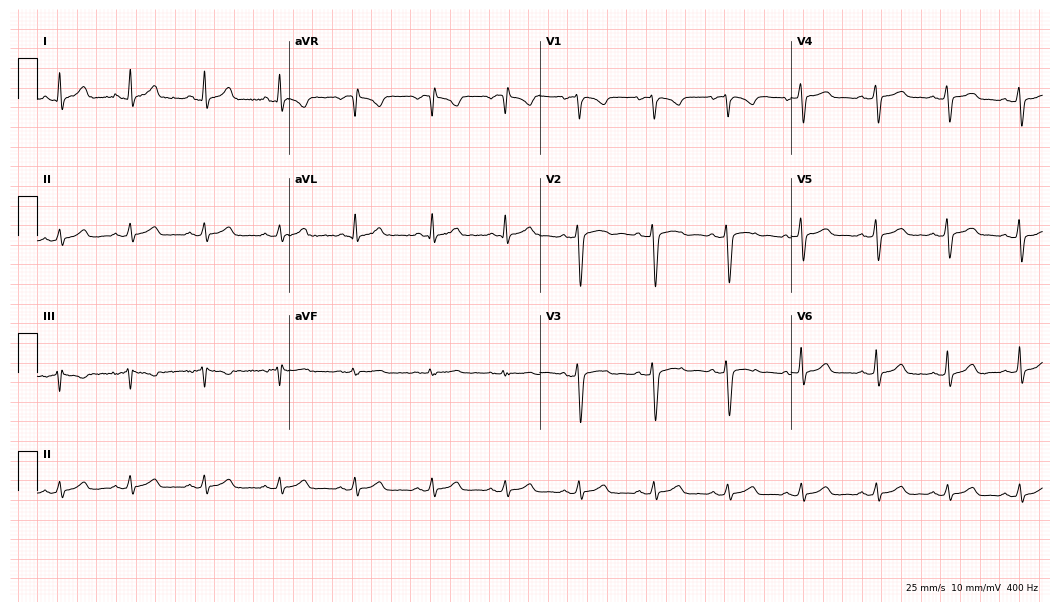
12-lead ECG from a 22-year-old female. Screened for six findings — first-degree AV block, right bundle branch block, left bundle branch block, sinus bradycardia, atrial fibrillation, sinus tachycardia — none is recorded.